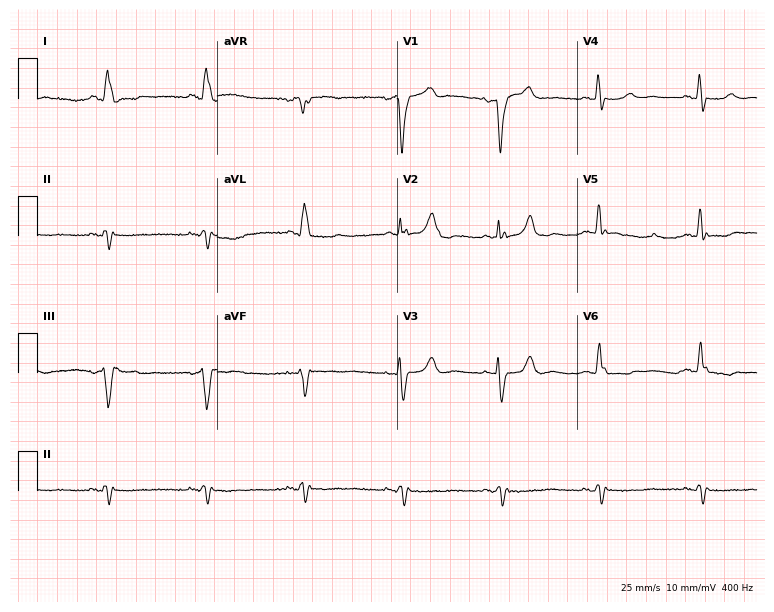
12-lead ECG from an 83-year-old male patient (7.3-second recording at 400 Hz). No first-degree AV block, right bundle branch block, left bundle branch block, sinus bradycardia, atrial fibrillation or sinus tachycardia recorded for this tracing.